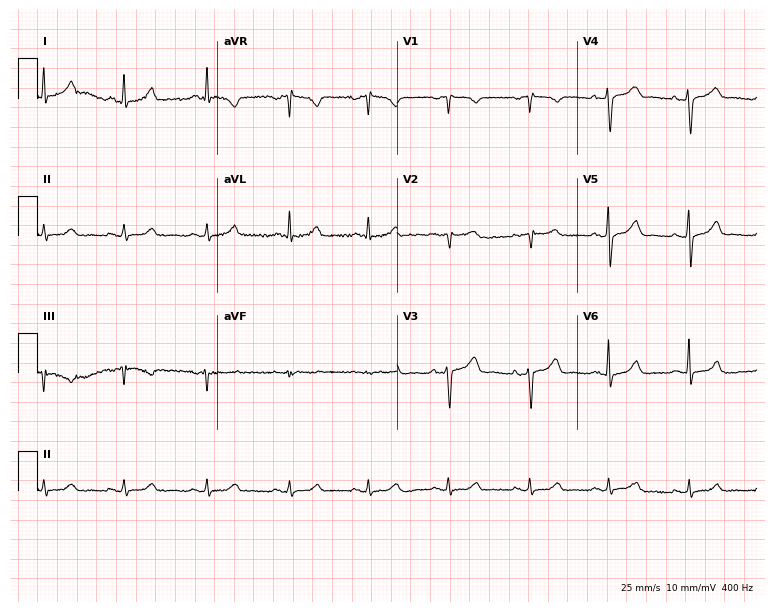
Electrocardiogram, a 44-year-old woman. Of the six screened findings (first-degree AV block, right bundle branch block, left bundle branch block, sinus bradycardia, atrial fibrillation, sinus tachycardia), none is recorded.